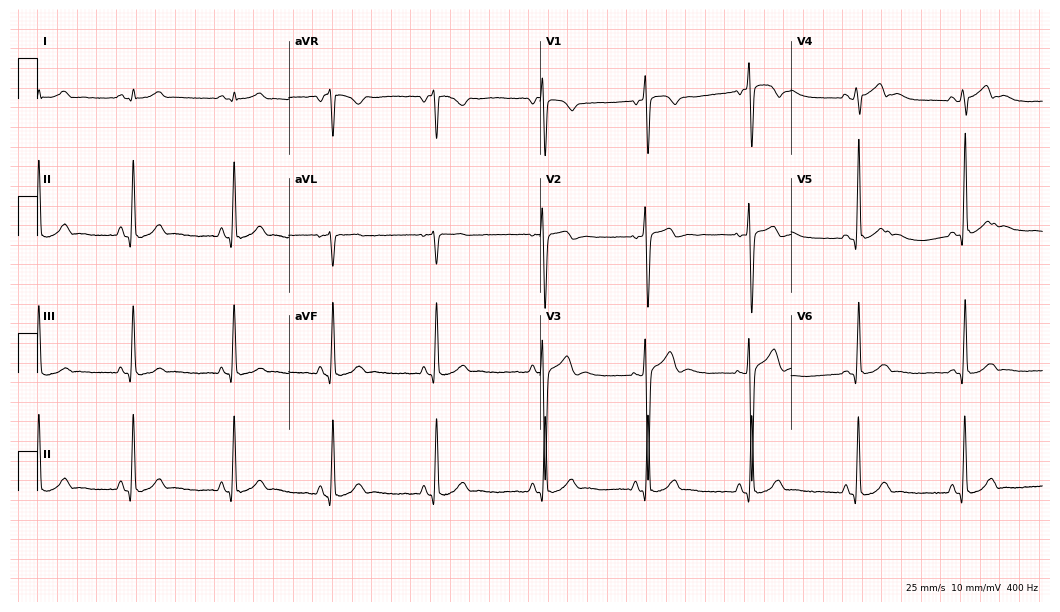
12-lead ECG from a male, 21 years old. Screened for six findings — first-degree AV block, right bundle branch block, left bundle branch block, sinus bradycardia, atrial fibrillation, sinus tachycardia — none is recorded.